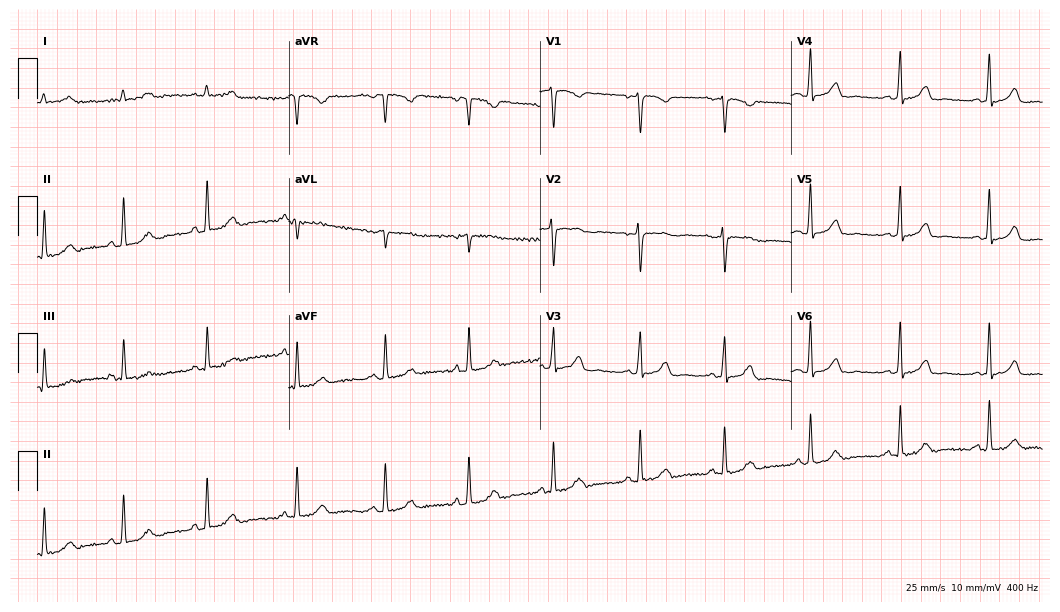
Electrocardiogram (10.2-second recording at 400 Hz), a 21-year-old female patient. Overall reading on record: normal ECG.